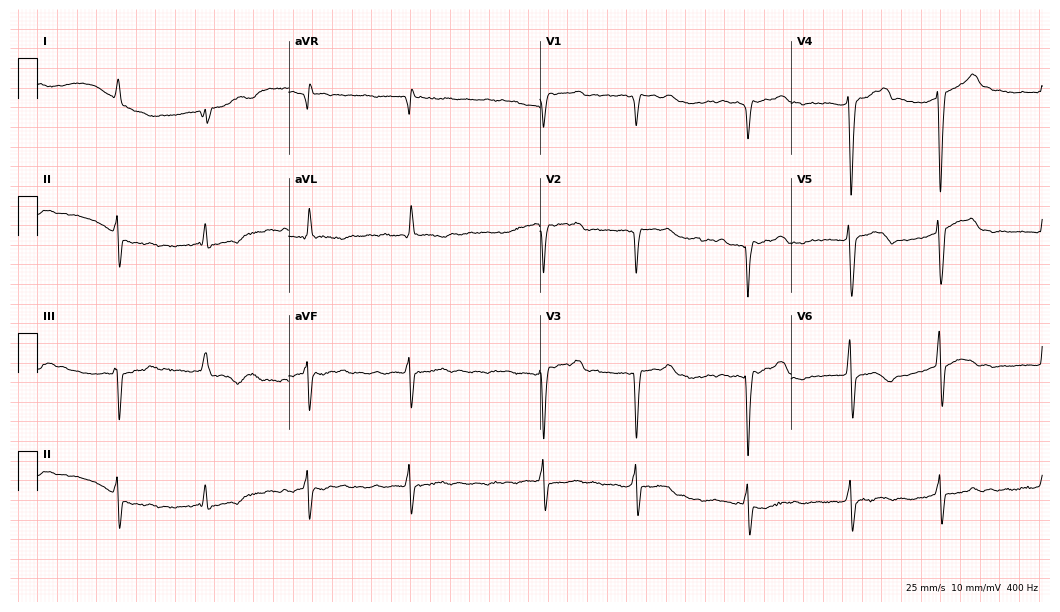
Resting 12-lead electrocardiogram (10.2-second recording at 400 Hz). Patient: an 81-year-old woman. The tracing shows atrial fibrillation (AF).